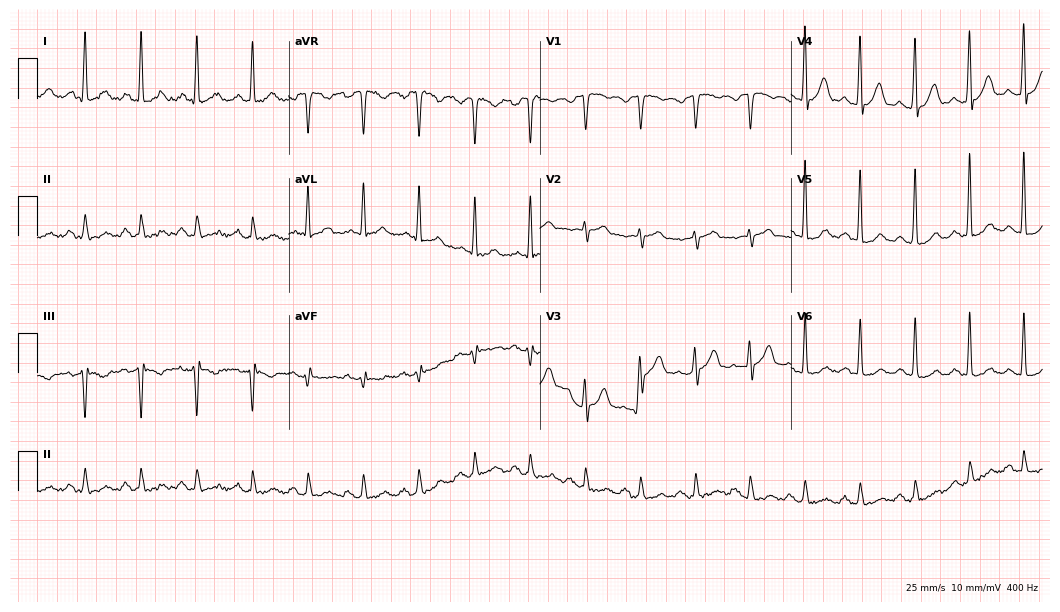
Standard 12-lead ECG recorded from a 74-year-old male. The tracing shows sinus tachycardia (a sinus rate of 100 beats per minute or more).